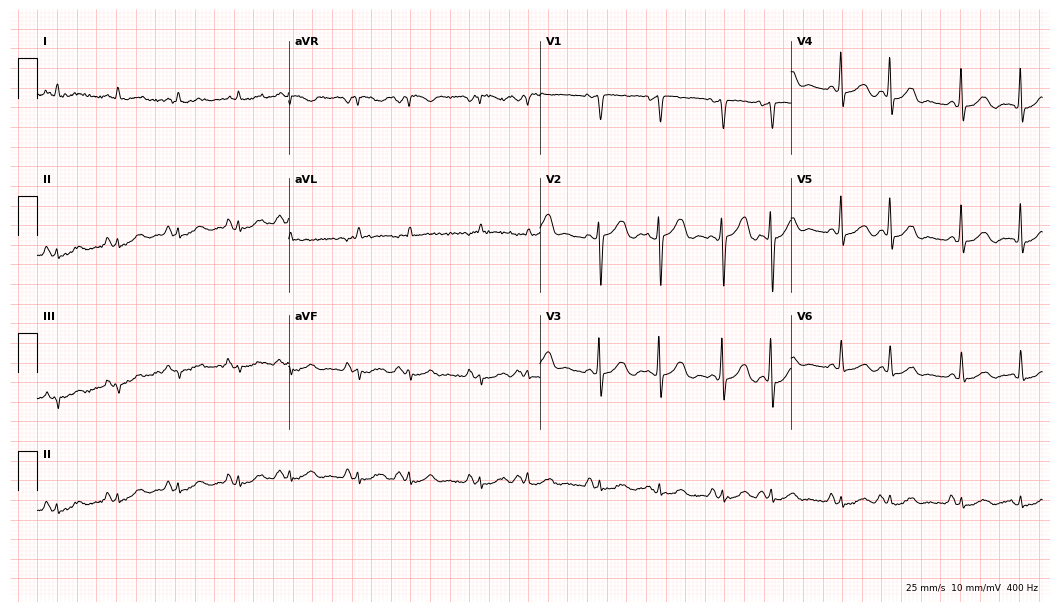
Electrocardiogram, a 77-year-old man. Overall reading on record: normal ECG.